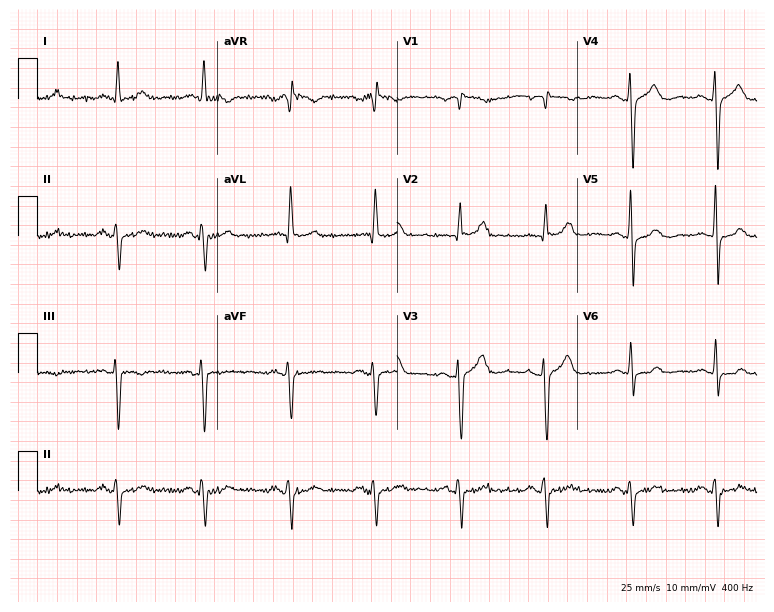
Resting 12-lead electrocardiogram (7.3-second recording at 400 Hz). Patient: a 60-year-old male. None of these six findings is recorded: first-degree AV block, right bundle branch block, left bundle branch block, sinus bradycardia, atrial fibrillation, sinus tachycardia.